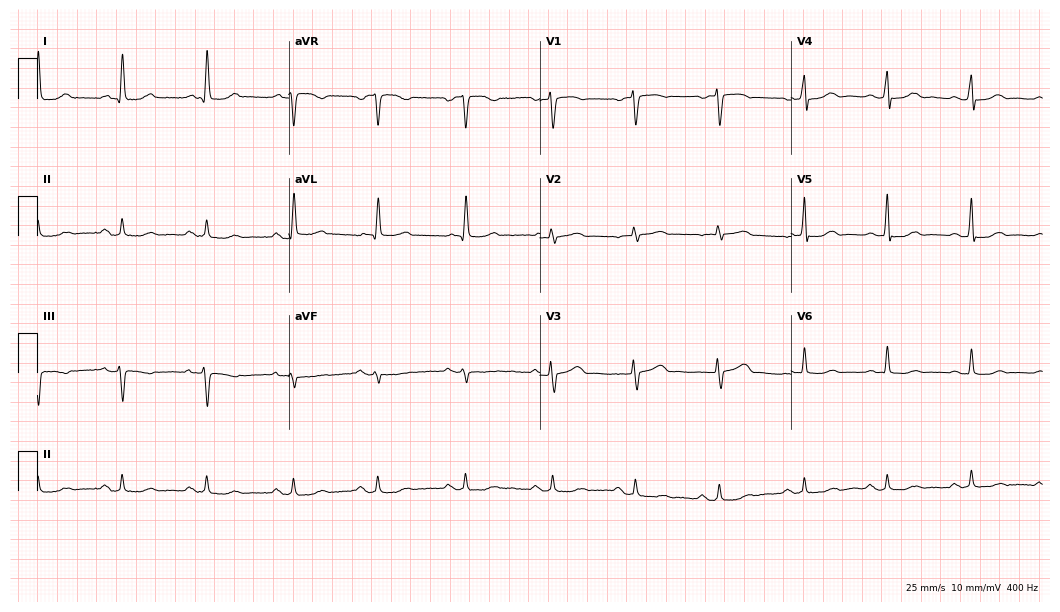
ECG (10.2-second recording at 400 Hz) — a female patient, 64 years old. Labelled as a normal ECG.